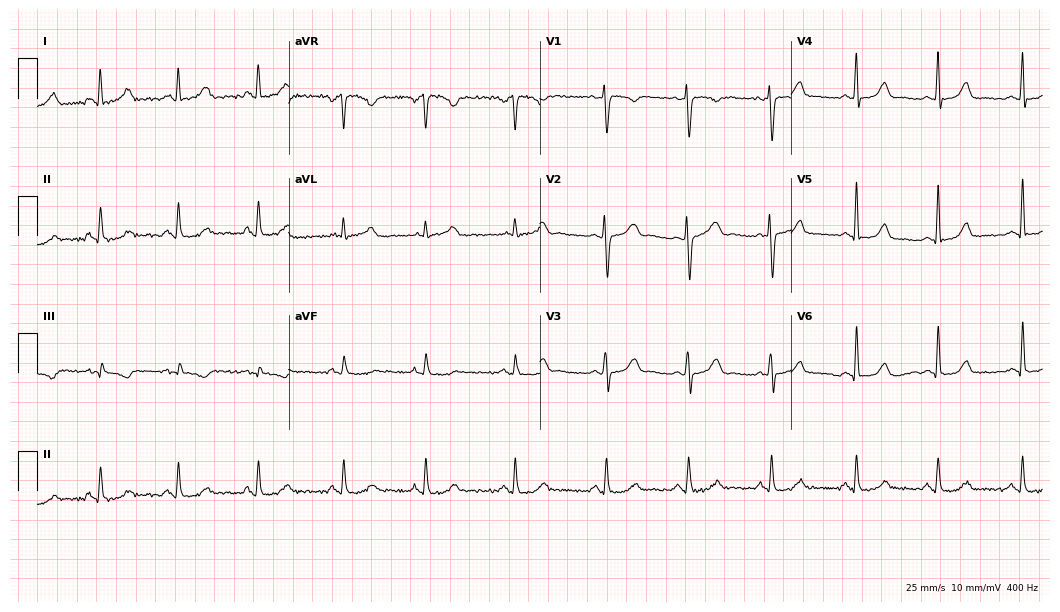
Standard 12-lead ECG recorded from a 39-year-old male patient (10.2-second recording at 400 Hz). Read as a normal ECG.